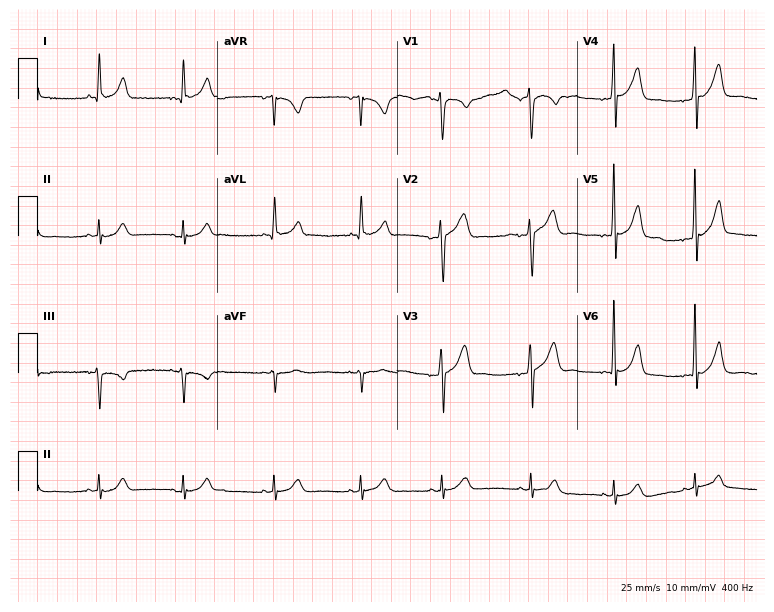
ECG (7.3-second recording at 400 Hz) — a 65-year-old male. Screened for six findings — first-degree AV block, right bundle branch block, left bundle branch block, sinus bradycardia, atrial fibrillation, sinus tachycardia — none is recorded. Findings outside these six are not listed.